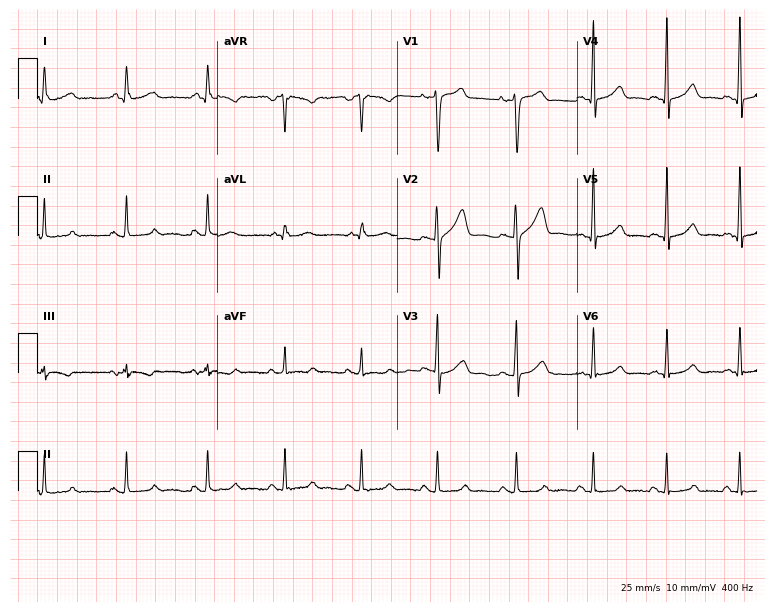
Resting 12-lead electrocardiogram. Patient: a 33-year-old male. Read as a normal ECG.